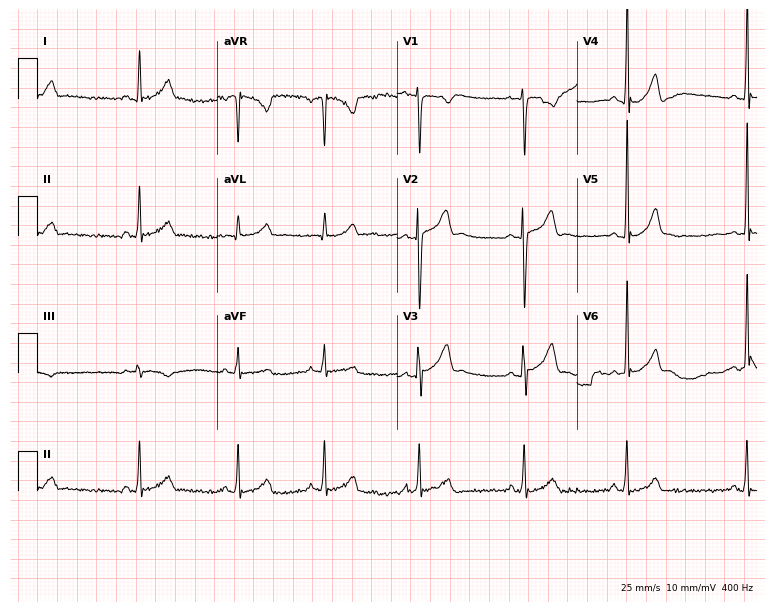
12-lead ECG from a 21-year-old male. Screened for six findings — first-degree AV block, right bundle branch block, left bundle branch block, sinus bradycardia, atrial fibrillation, sinus tachycardia — none is recorded. Other findings, if any, are not listed.